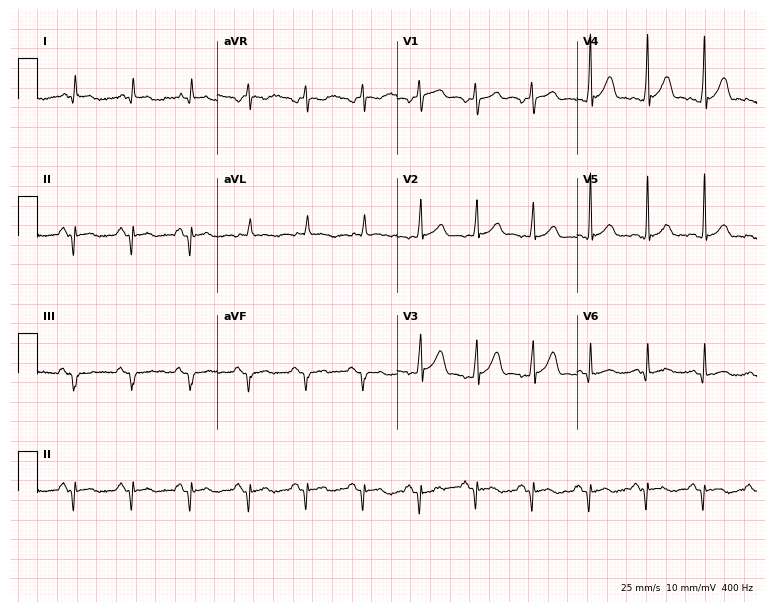
ECG (7.3-second recording at 400 Hz) — a male, 47 years old. Findings include sinus tachycardia (a sinus rate of 100 beats per minute or more).